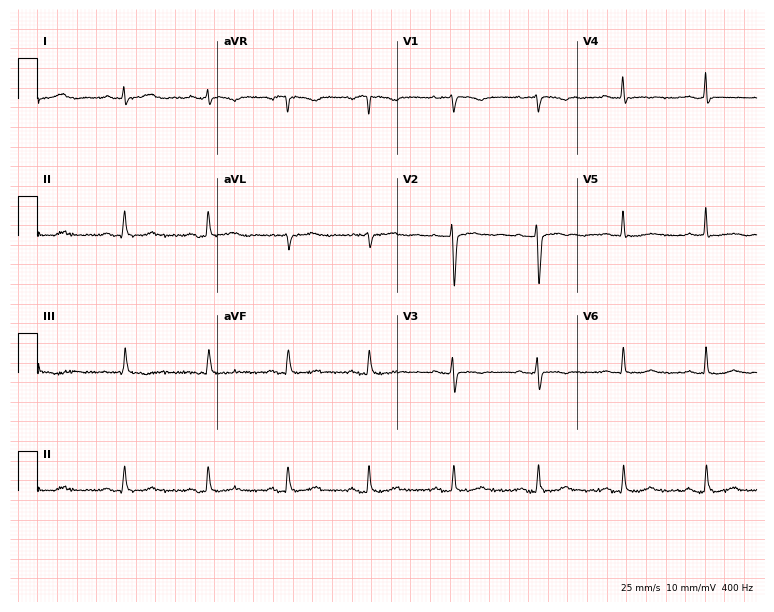
12-lead ECG from a female patient, 43 years old. Screened for six findings — first-degree AV block, right bundle branch block, left bundle branch block, sinus bradycardia, atrial fibrillation, sinus tachycardia — none is recorded.